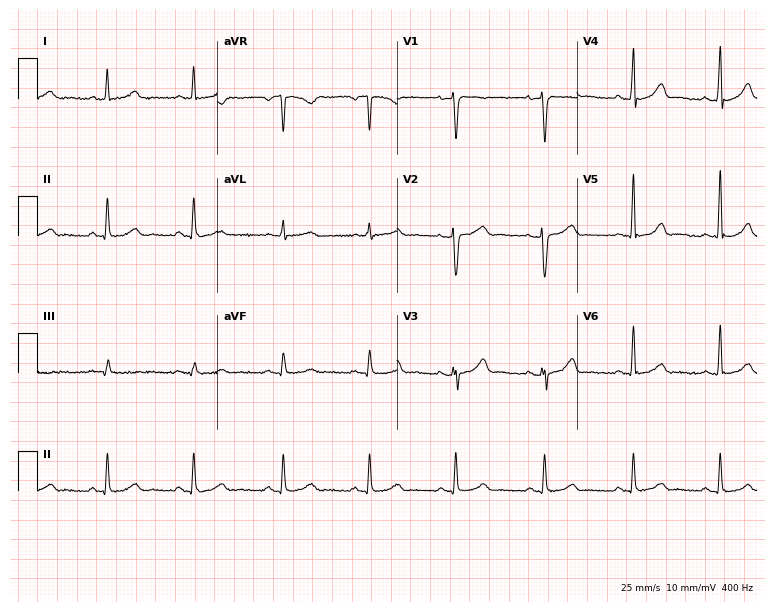
12-lead ECG from a 47-year-old woman. Recorded interpretation: within normal limits.